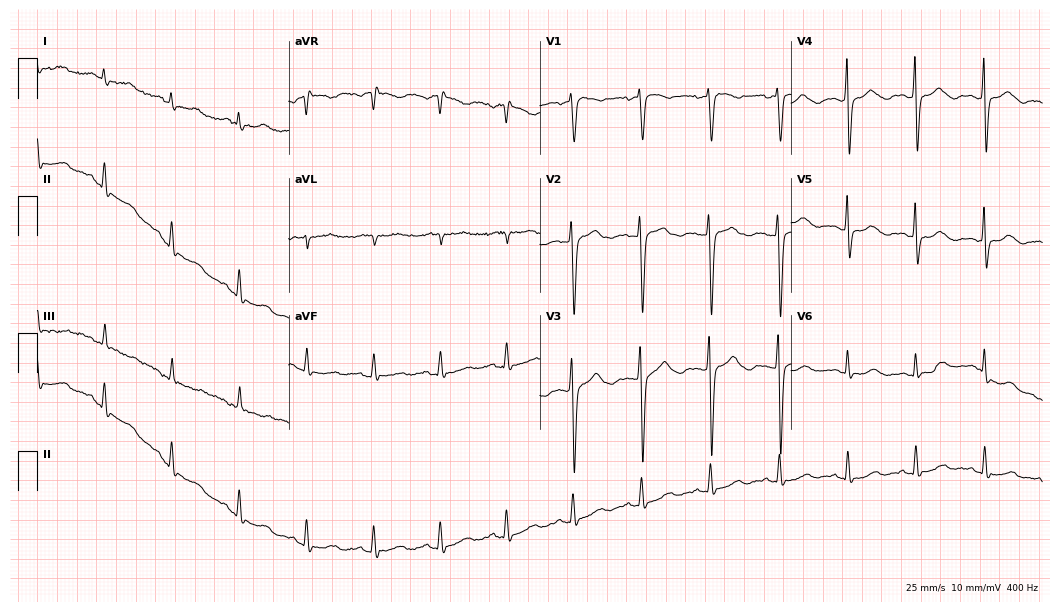
12-lead ECG (10.2-second recording at 400 Hz) from a female, 47 years old. Screened for six findings — first-degree AV block, right bundle branch block (RBBB), left bundle branch block (LBBB), sinus bradycardia, atrial fibrillation (AF), sinus tachycardia — none is recorded.